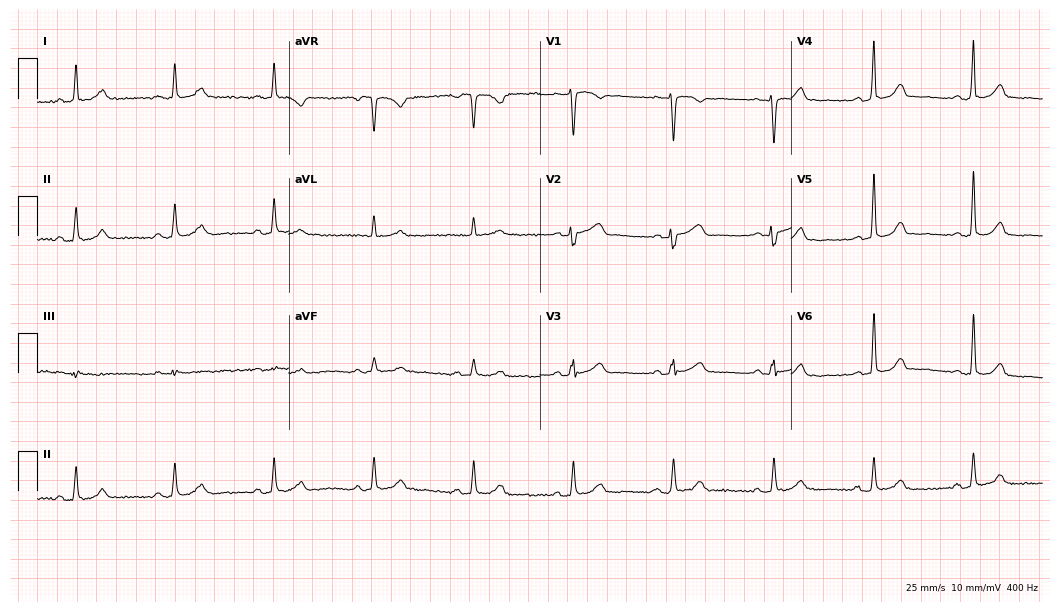
Resting 12-lead electrocardiogram. Patient: a female, 69 years old. Read as a normal ECG.